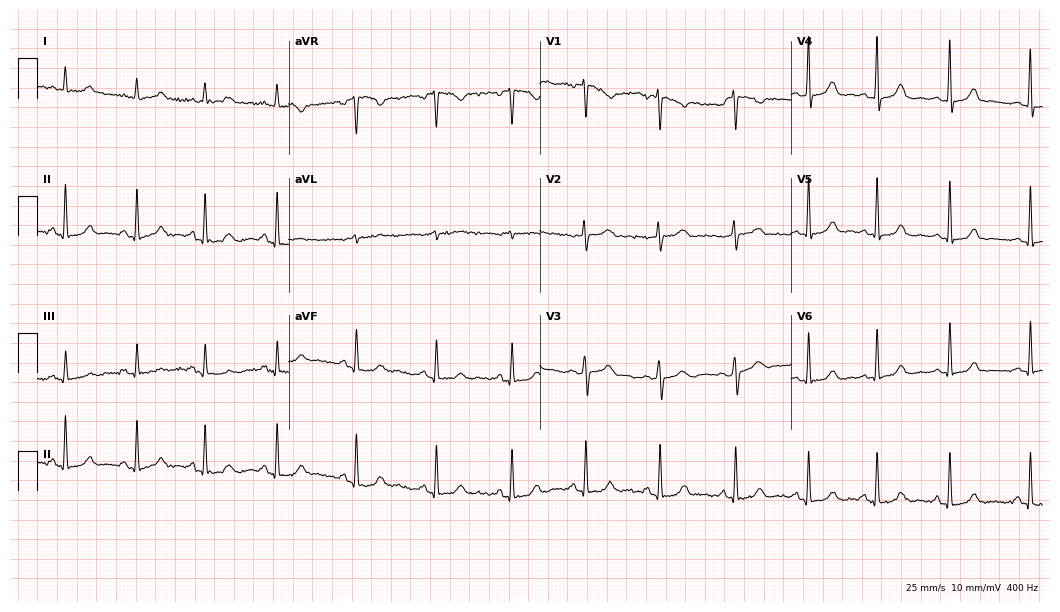
Electrocardiogram, a woman, 50 years old. Of the six screened findings (first-degree AV block, right bundle branch block (RBBB), left bundle branch block (LBBB), sinus bradycardia, atrial fibrillation (AF), sinus tachycardia), none is recorded.